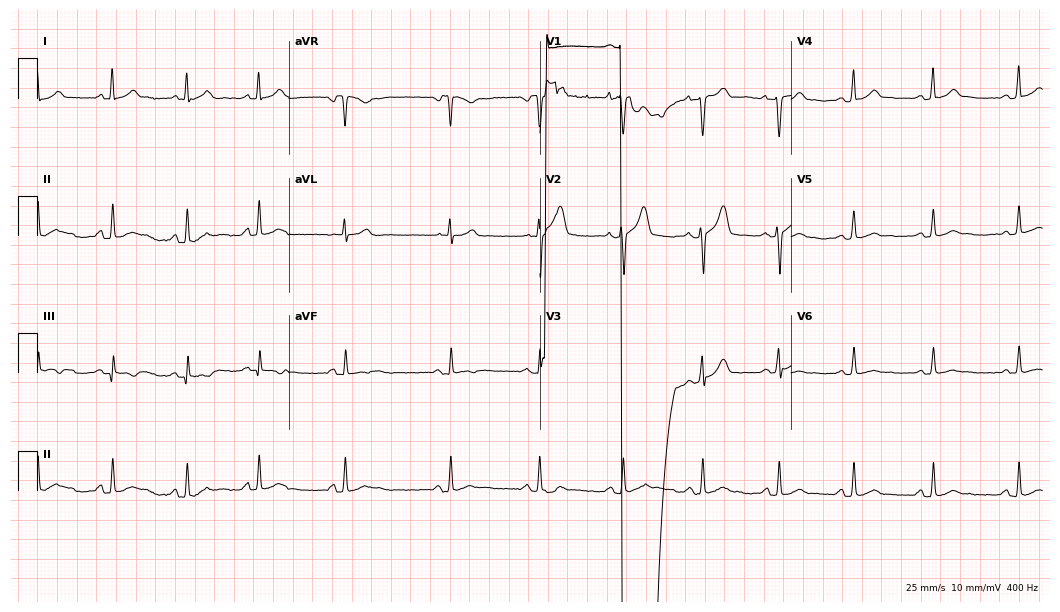
12-lead ECG from a male, 23 years old (10.2-second recording at 400 Hz). No first-degree AV block, right bundle branch block (RBBB), left bundle branch block (LBBB), sinus bradycardia, atrial fibrillation (AF) or sinus tachycardia recorded for this tracing. Findings outside these six are not listed.